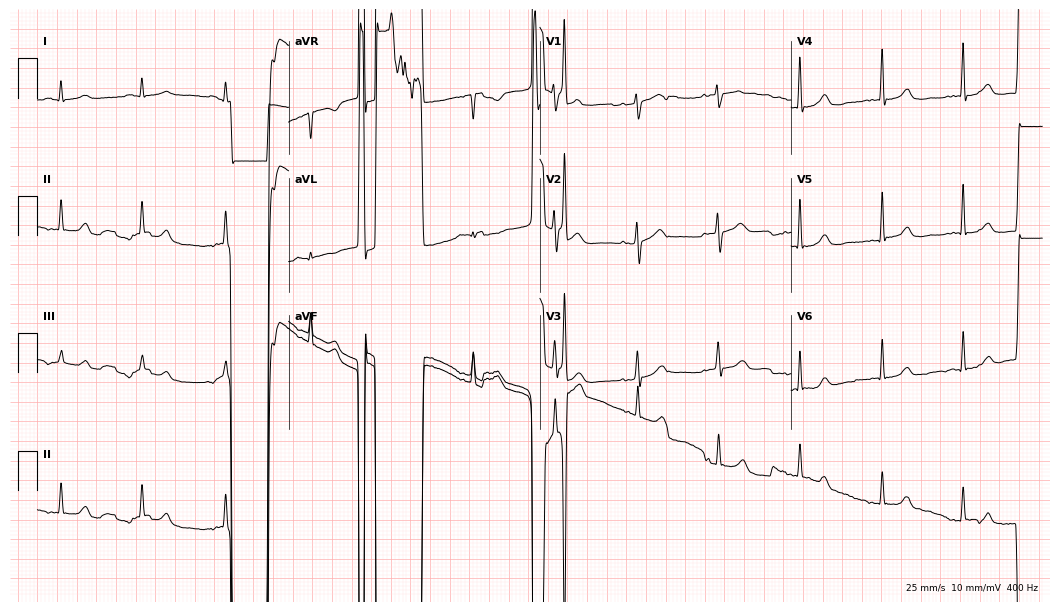
12-lead ECG from a 65-year-old woman. Screened for six findings — first-degree AV block, right bundle branch block, left bundle branch block, sinus bradycardia, atrial fibrillation, sinus tachycardia — none is recorded.